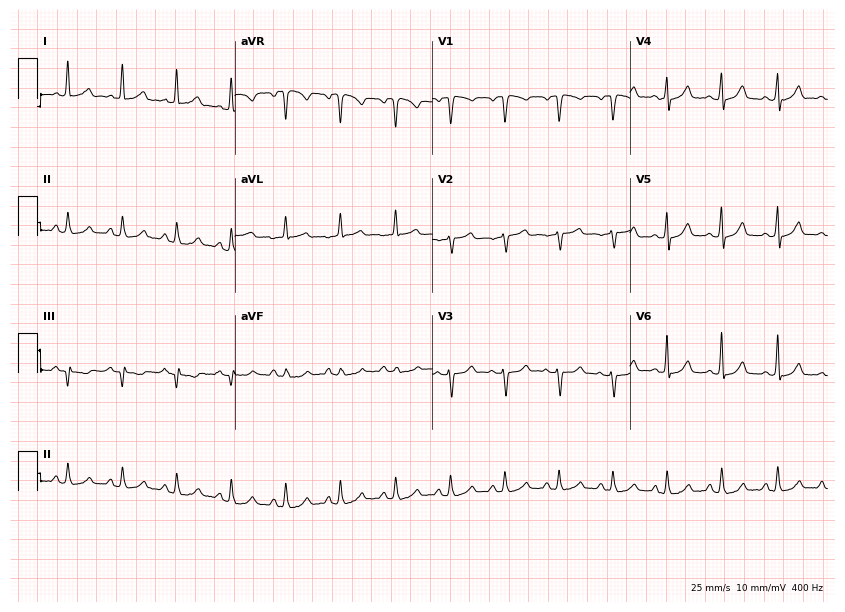
Standard 12-lead ECG recorded from a woman, 81 years old (8.1-second recording at 400 Hz). None of these six findings is recorded: first-degree AV block, right bundle branch block (RBBB), left bundle branch block (LBBB), sinus bradycardia, atrial fibrillation (AF), sinus tachycardia. Other findings, if any, are not listed.